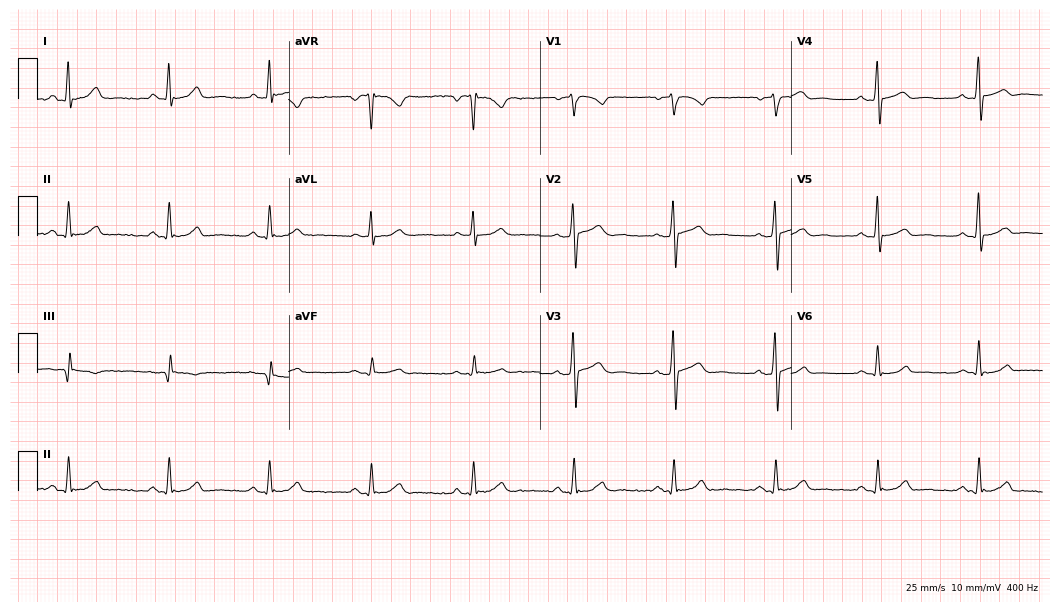
ECG — a male, 45 years old. Labelled as a normal ECG.